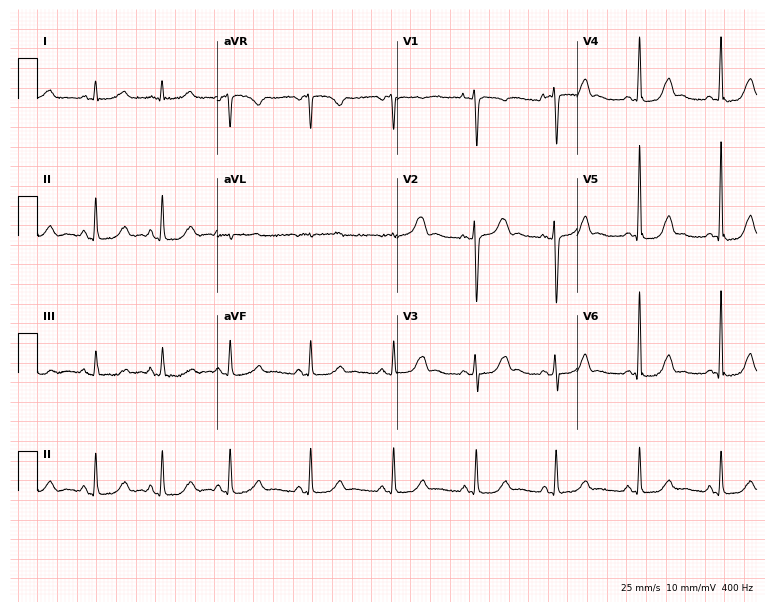
12-lead ECG from a female, 36 years old (7.3-second recording at 400 Hz). No first-degree AV block, right bundle branch block, left bundle branch block, sinus bradycardia, atrial fibrillation or sinus tachycardia recorded for this tracing.